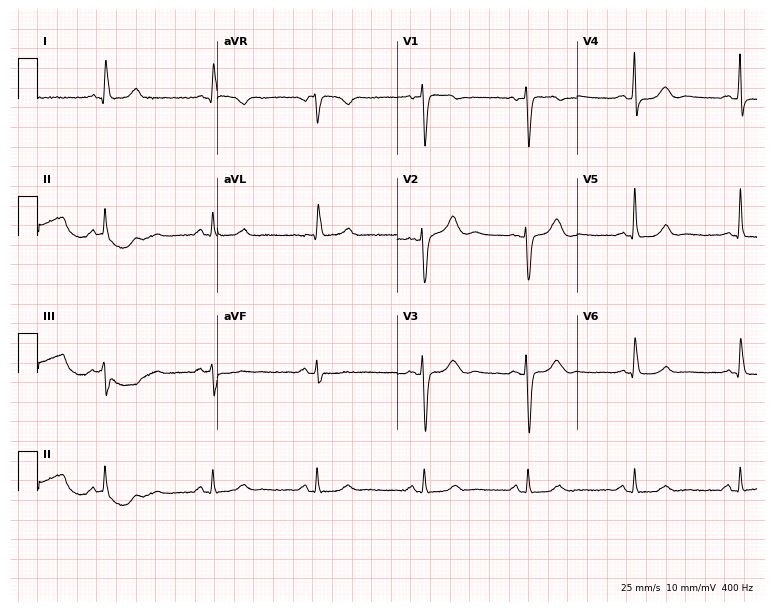
12-lead ECG from an 84-year-old woman. Labelled as a normal ECG.